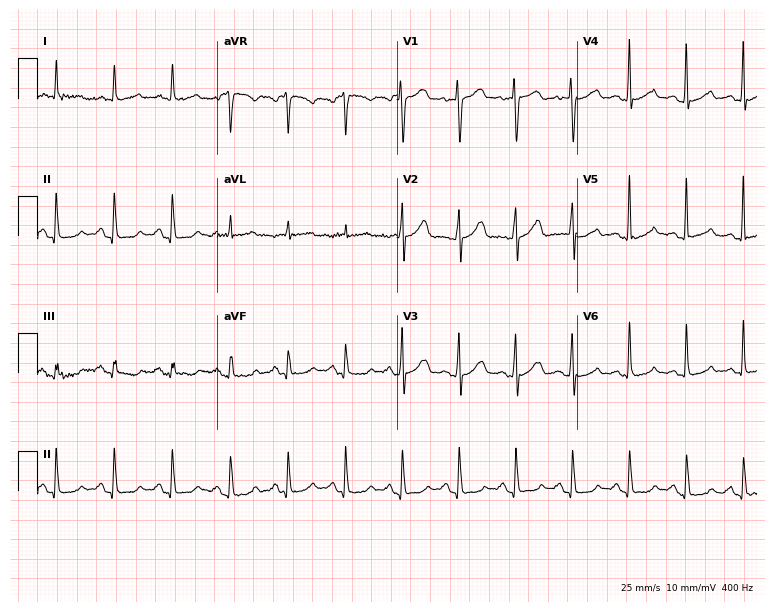
ECG — a 57-year-old female patient. Screened for six findings — first-degree AV block, right bundle branch block, left bundle branch block, sinus bradycardia, atrial fibrillation, sinus tachycardia — none is recorded. Only these six findings were labelled.